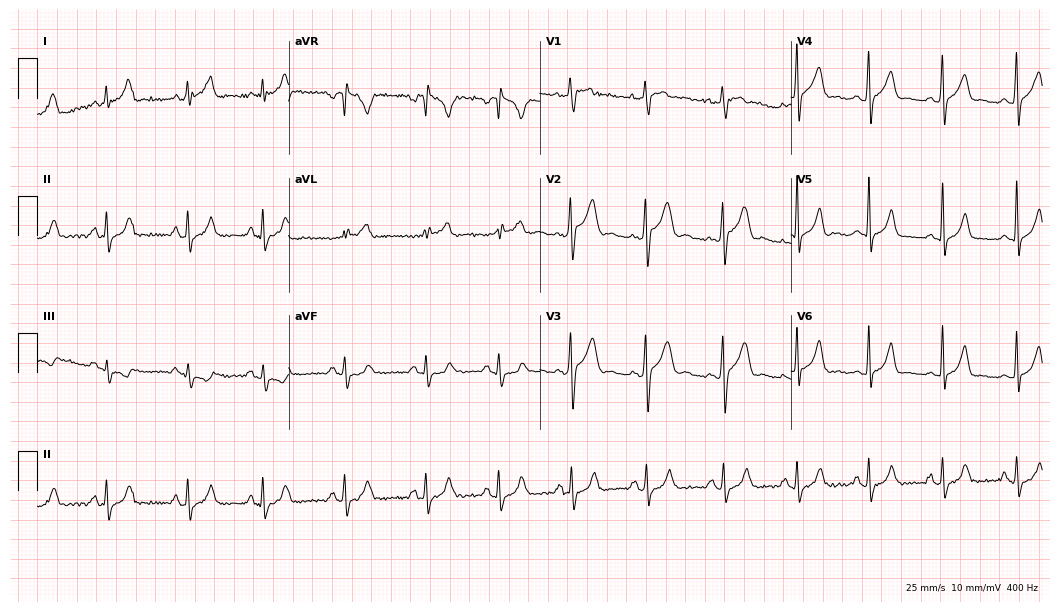
12-lead ECG from a male patient, 21 years old. Labelled as a normal ECG.